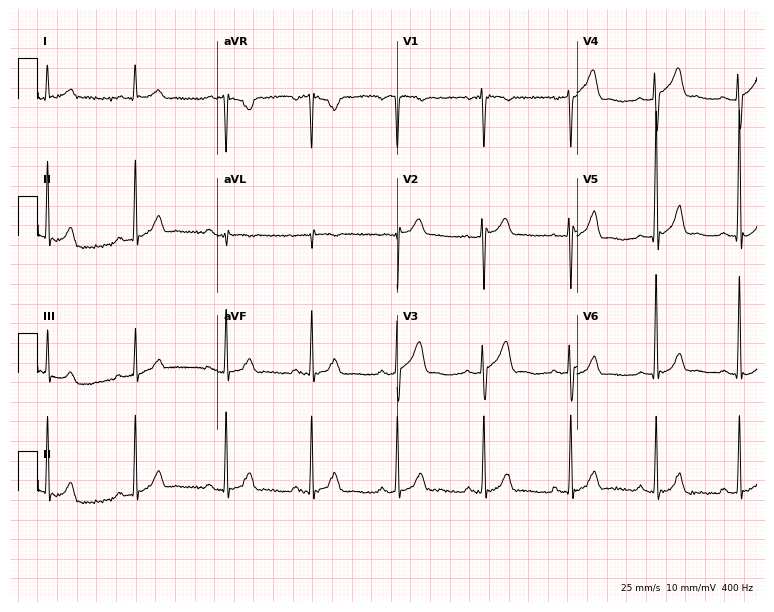
ECG — a 44-year-old male patient. Screened for six findings — first-degree AV block, right bundle branch block, left bundle branch block, sinus bradycardia, atrial fibrillation, sinus tachycardia — none is recorded.